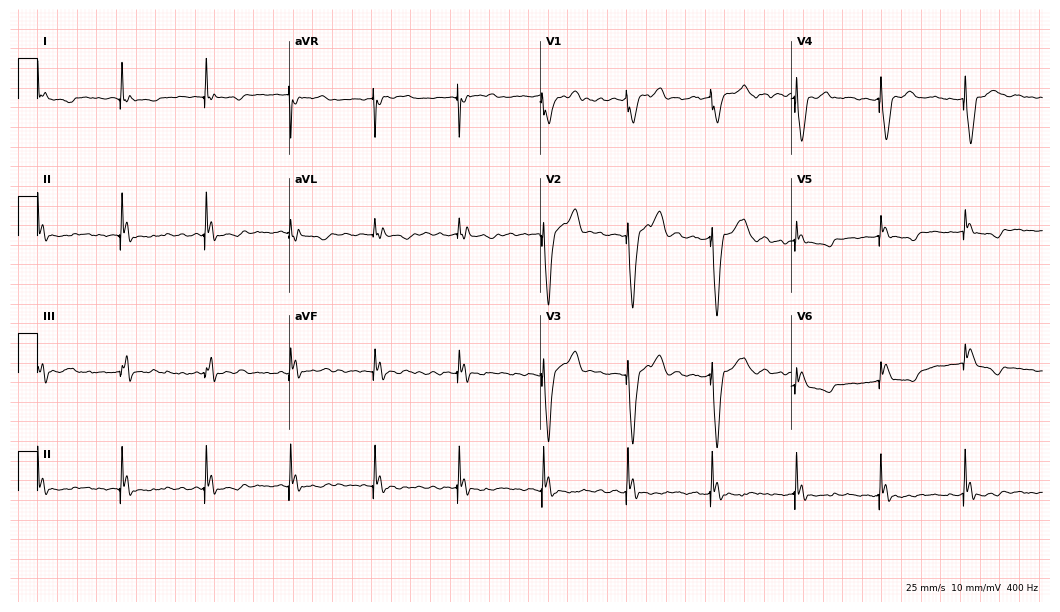
Electrocardiogram (10.2-second recording at 400 Hz), a woman, 61 years old. Of the six screened findings (first-degree AV block, right bundle branch block, left bundle branch block, sinus bradycardia, atrial fibrillation, sinus tachycardia), none is recorded.